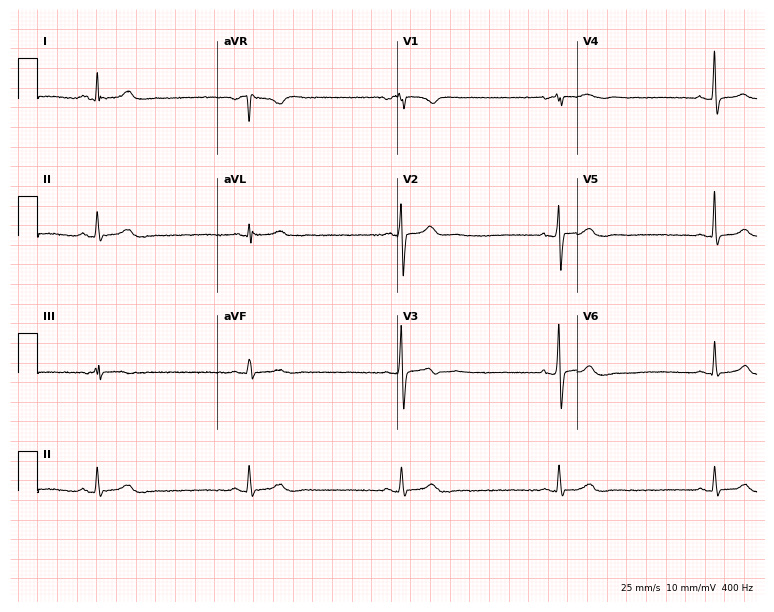
Electrocardiogram, a 68-year-old female patient. Interpretation includes sinus bradycardia (a sinus rate of 50 beats per minute or less).